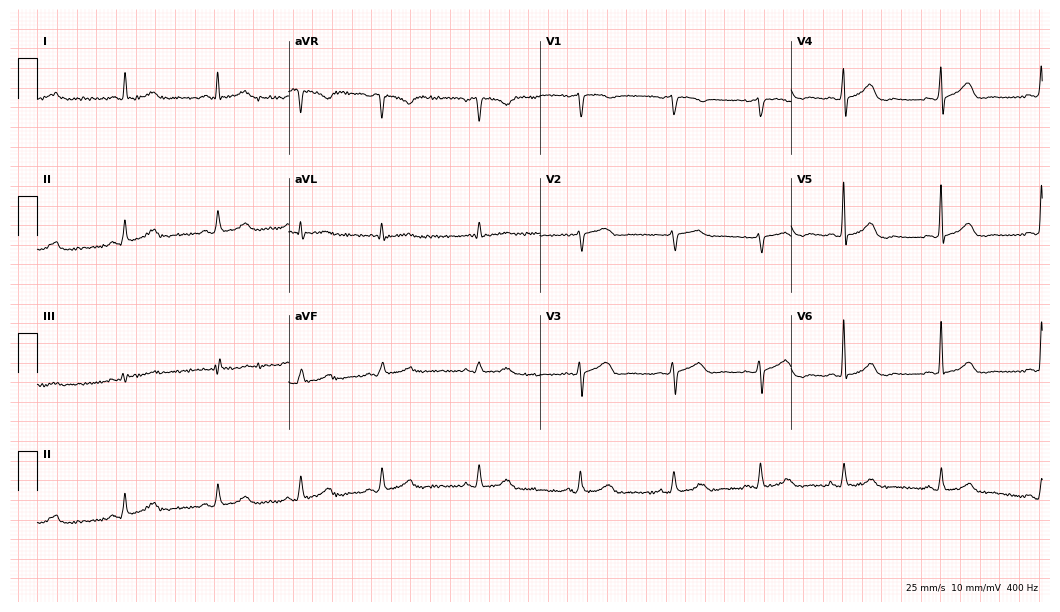
ECG (10.2-second recording at 400 Hz) — a 66-year-old woman. Labelled as a normal ECG.